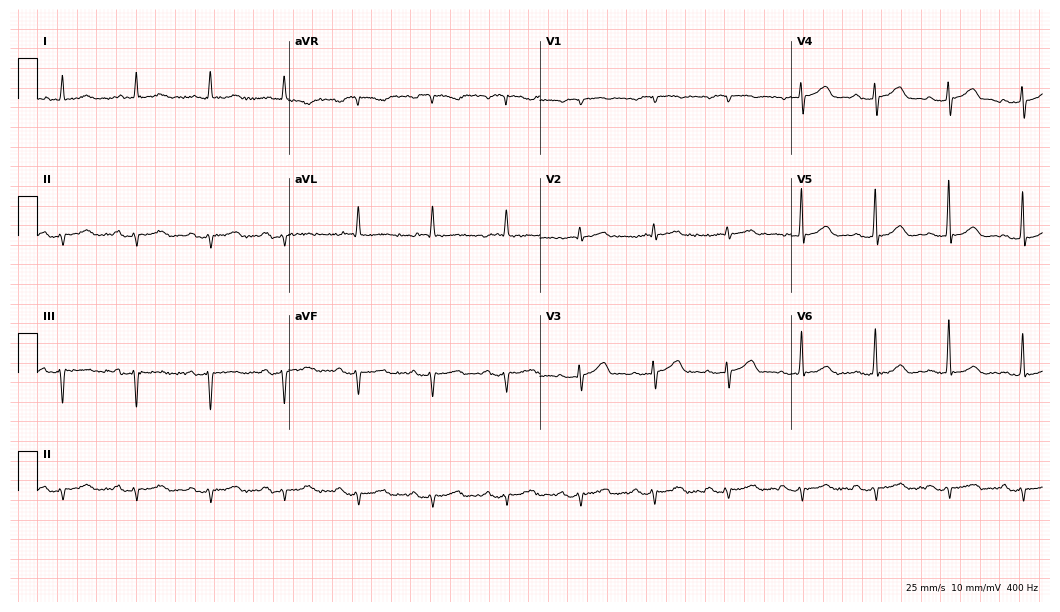
Resting 12-lead electrocardiogram (10.2-second recording at 400 Hz). Patient: a man, 83 years old. None of these six findings is recorded: first-degree AV block, right bundle branch block, left bundle branch block, sinus bradycardia, atrial fibrillation, sinus tachycardia. Other findings, if any, are not listed.